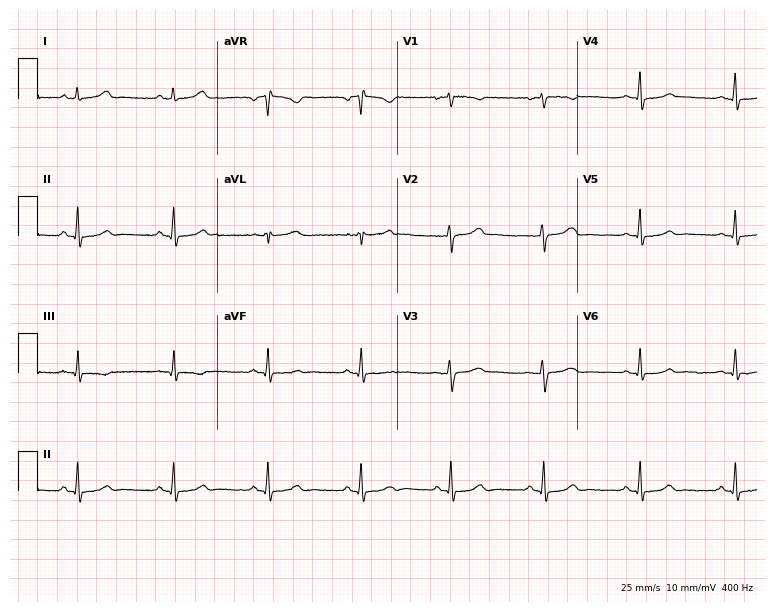
Resting 12-lead electrocardiogram. Patient: a 40-year-old female. Read as a normal ECG.